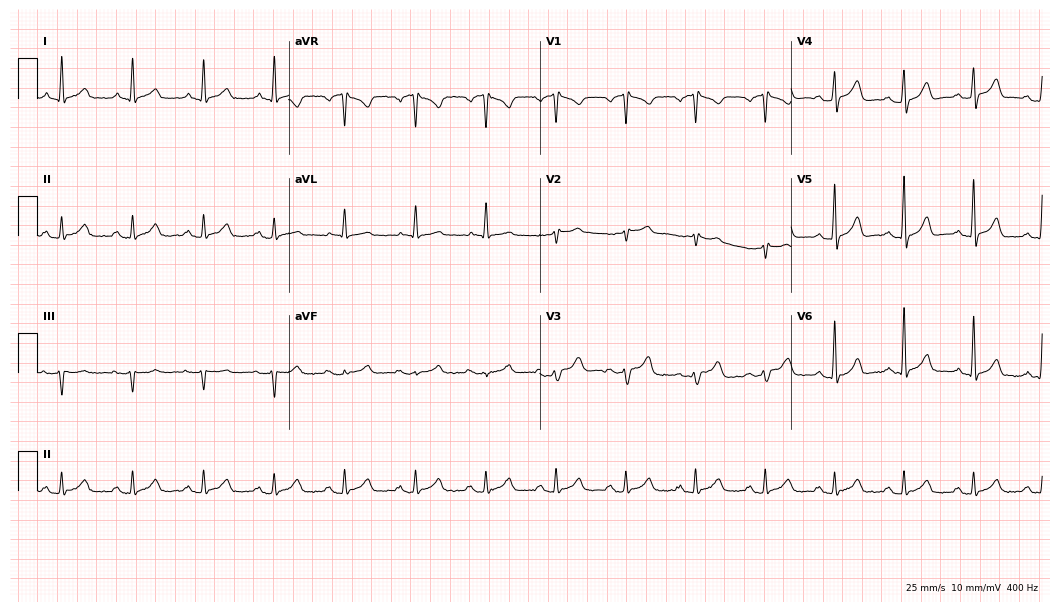
Resting 12-lead electrocardiogram. Patient: a male, 66 years old. Read as a normal ECG.